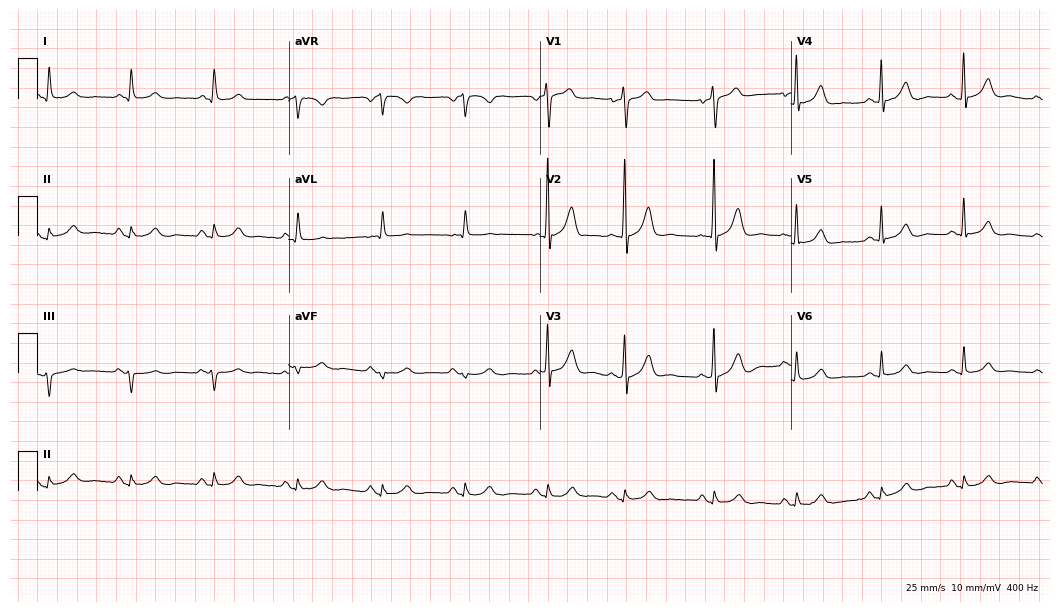
Resting 12-lead electrocardiogram (10.2-second recording at 400 Hz). Patient: a 79-year-old male. Read as a normal ECG.